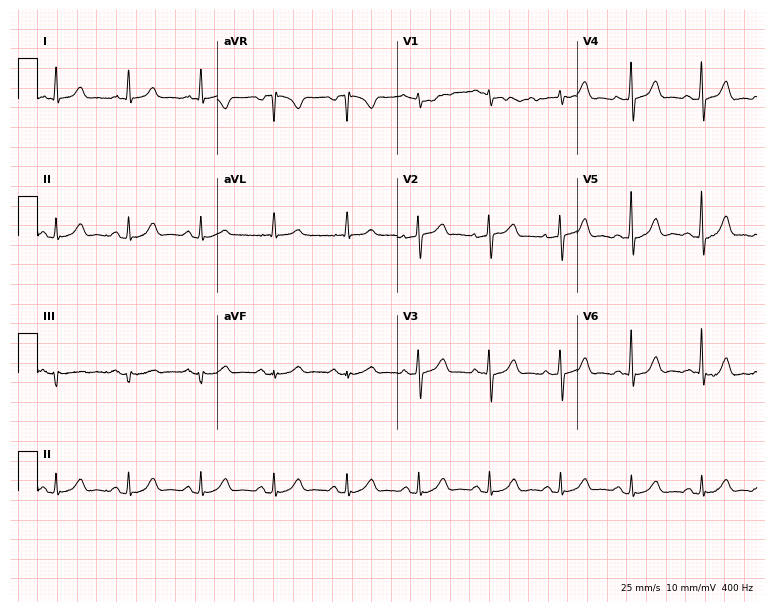
12-lead ECG from a 70-year-old man. Labelled as a normal ECG.